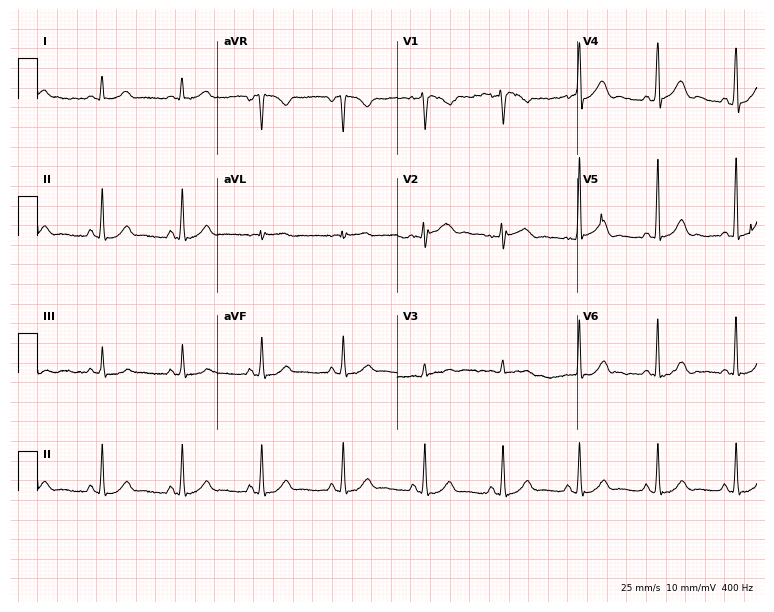
Standard 12-lead ECG recorded from a 41-year-old woman (7.3-second recording at 400 Hz). Read as a normal ECG.